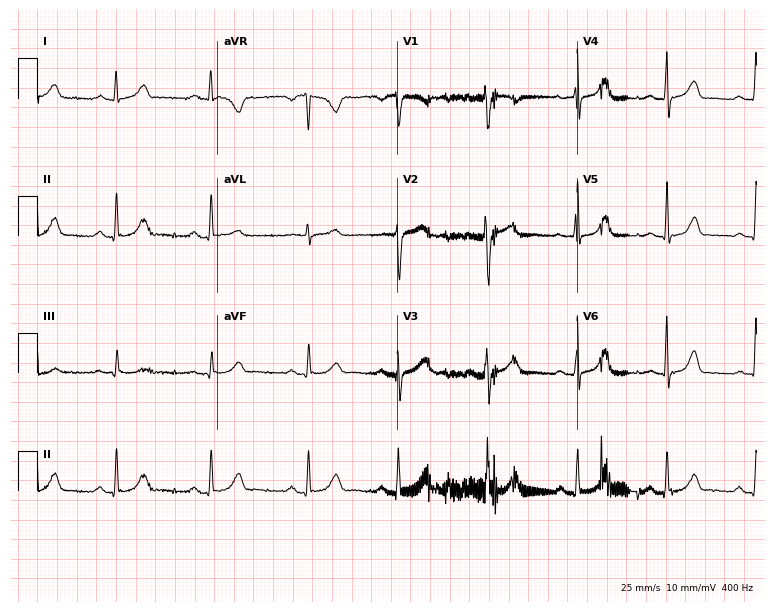
Electrocardiogram, a 35-year-old woman. Overall reading on record: normal ECG.